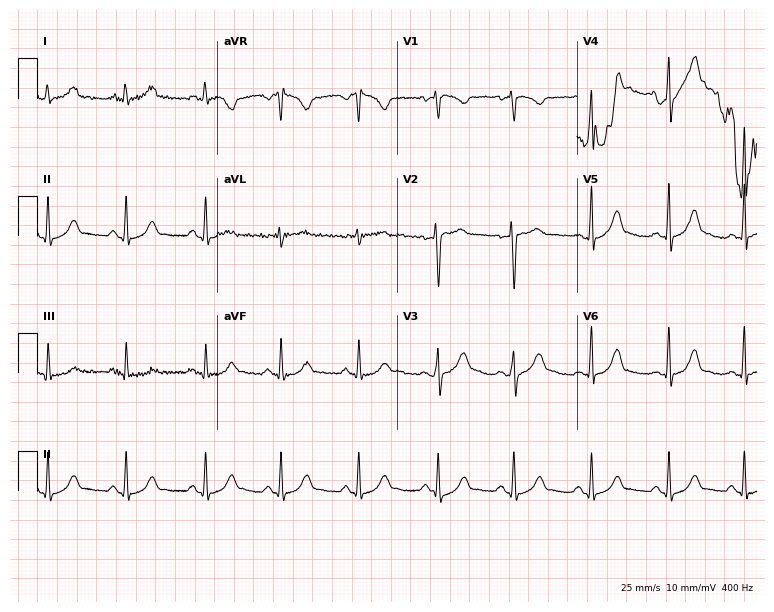
Electrocardiogram (7.3-second recording at 400 Hz), a 25-year-old female. Overall reading on record: normal ECG.